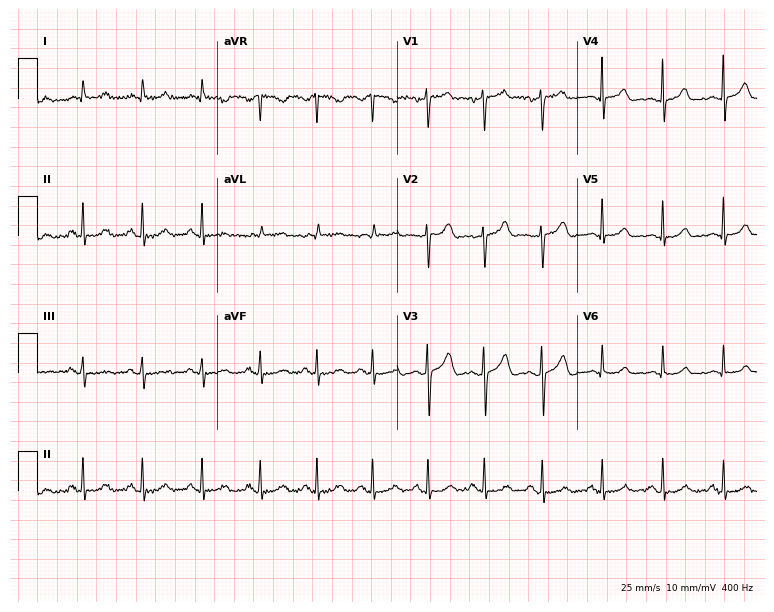
Electrocardiogram (7.3-second recording at 400 Hz), a male patient, 51 years old. Interpretation includes sinus tachycardia (a sinus rate of 100 beats per minute or more).